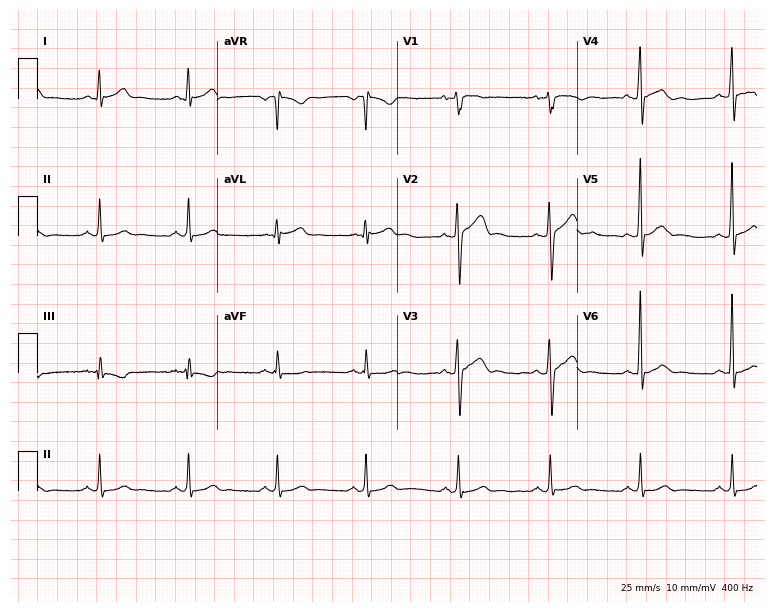
Resting 12-lead electrocardiogram. Patient: a 30-year-old man. Read as a normal ECG.